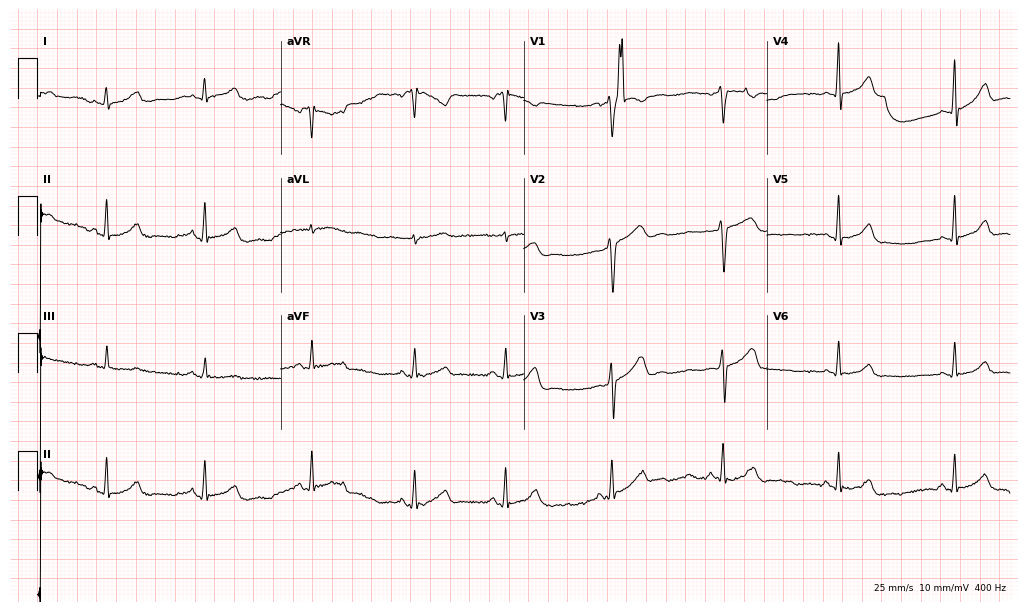
12-lead ECG from a 20-year-old female patient. Screened for six findings — first-degree AV block, right bundle branch block, left bundle branch block, sinus bradycardia, atrial fibrillation, sinus tachycardia — none is recorded. Findings outside these six are not listed.